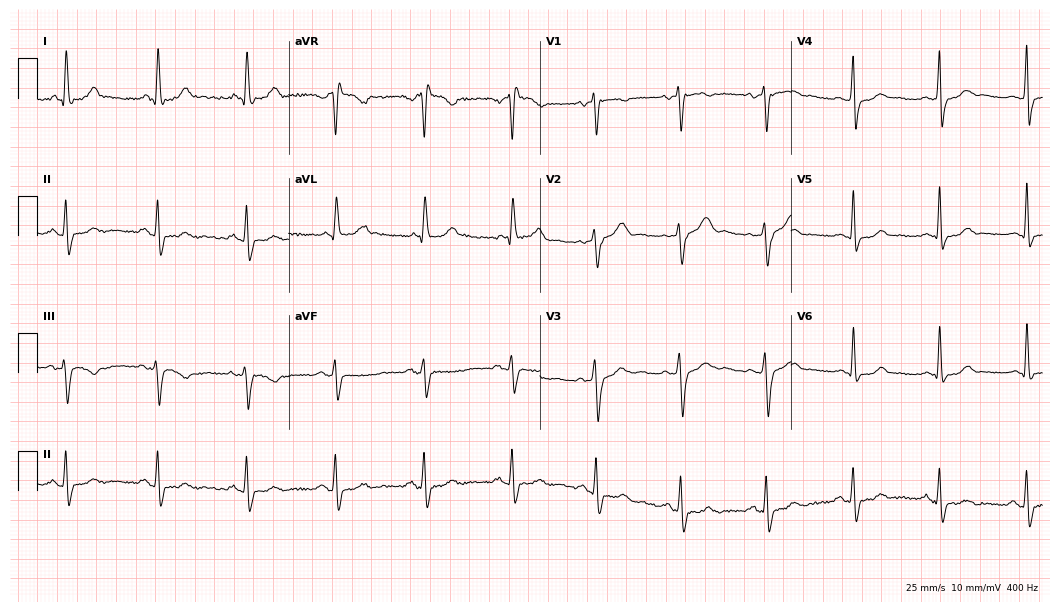
12-lead ECG from a 48-year-old female patient. Screened for six findings — first-degree AV block, right bundle branch block, left bundle branch block, sinus bradycardia, atrial fibrillation, sinus tachycardia — none is recorded. Only these six findings were labelled.